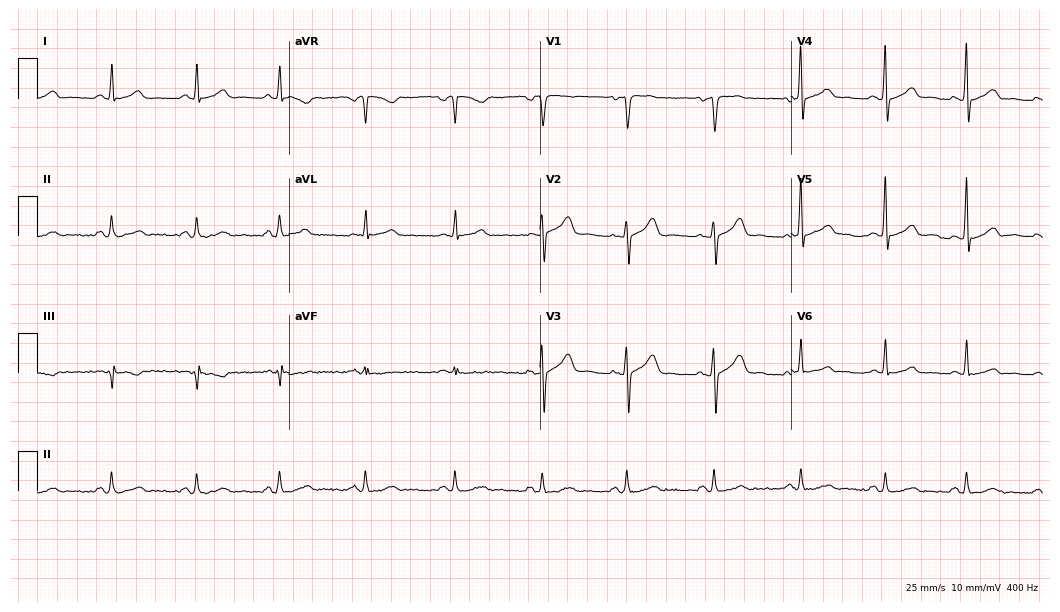
Standard 12-lead ECG recorded from a 44-year-old male (10.2-second recording at 400 Hz). Read as a normal ECG.